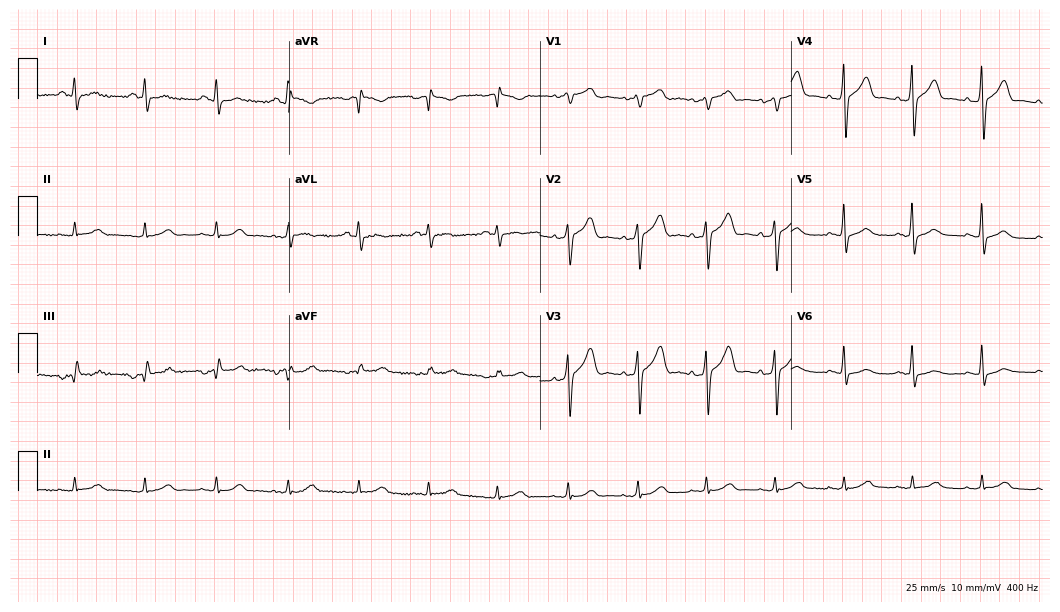
Electrocardiogram (10.2-second recording at 400 Hz), a 51-year-old man. Of the six screened findings (first-degree AV block, right bundle branch block, left bundle branch block, sinus bradycardia, atrial fibrillation, sinus tachycardia), none is recorded. Only these six findings were labelled.